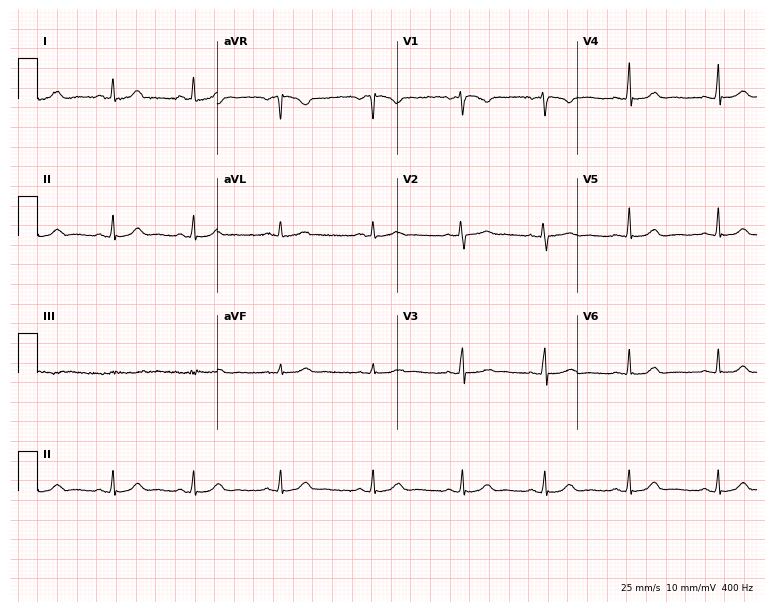
12-lead ECG from a woman, 32 years old. Labelled as a normal ECG.